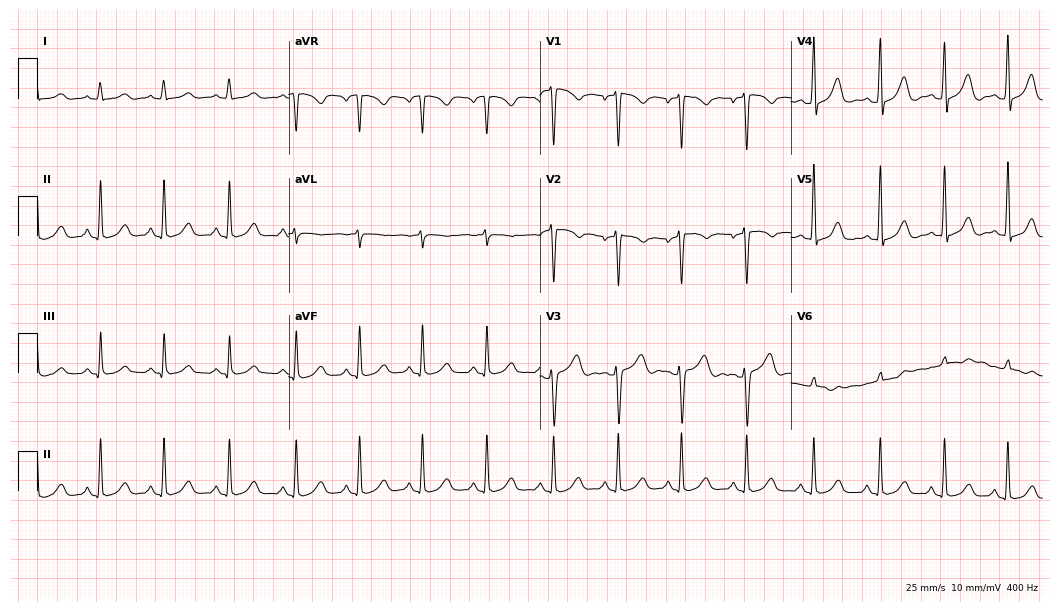
Standard 12-lead ECG recorded from a 33-year-old female (10.2-second recording at 400 Hz). Read as a normal ECG.